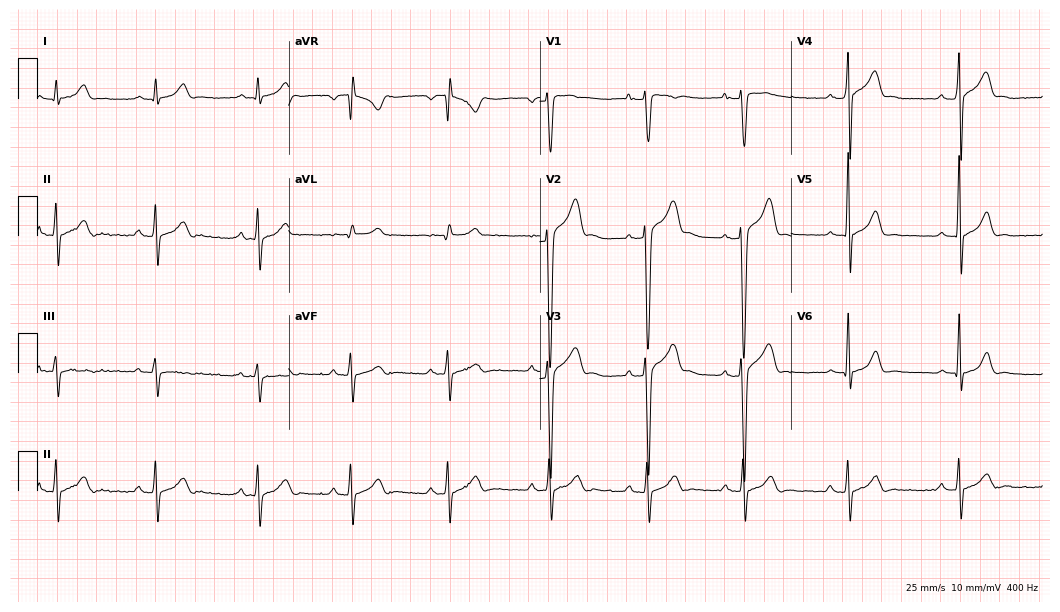
ECG (10.2-second recording at 400 Hz) — a man, 22 years old. Labelled as a normal ECG.